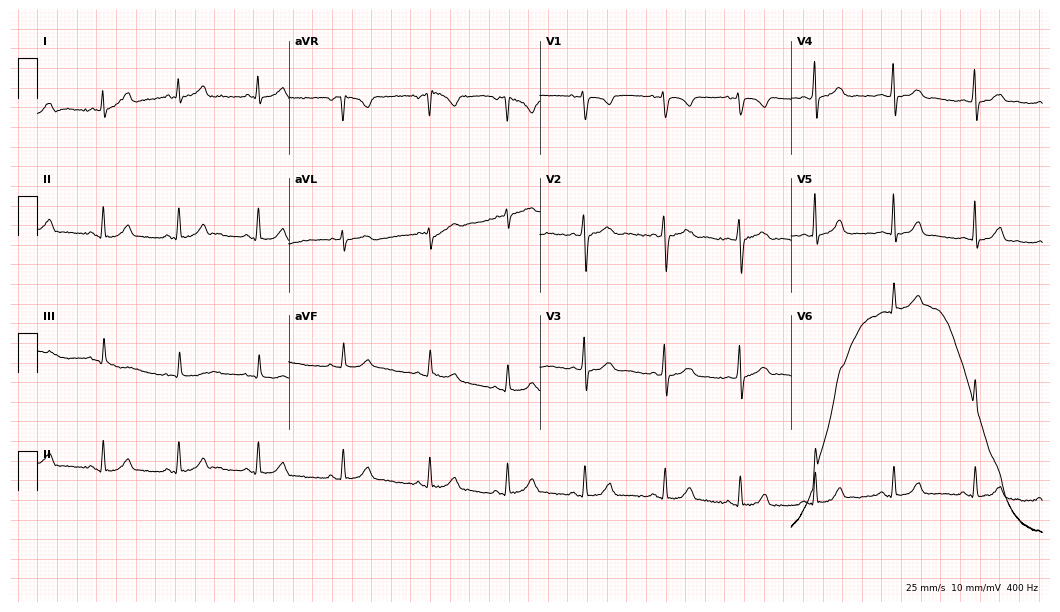
12-lead ECG from a female patient, 32 years old (10.2-second recording at 400 Hz). Recorded interpretation: within normal limits.